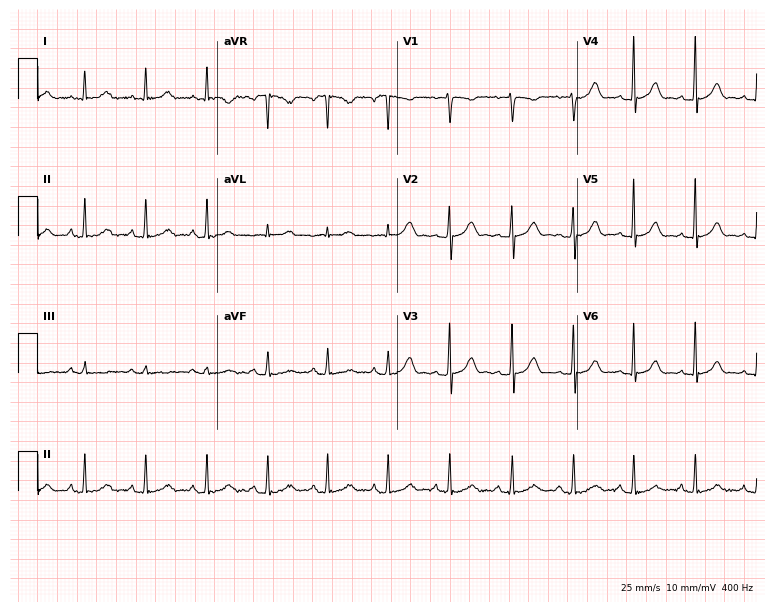
12-lead ECG (7.3-second recording at 400 Hz) from a 26-year-old female. Labelled as a normal ECG.